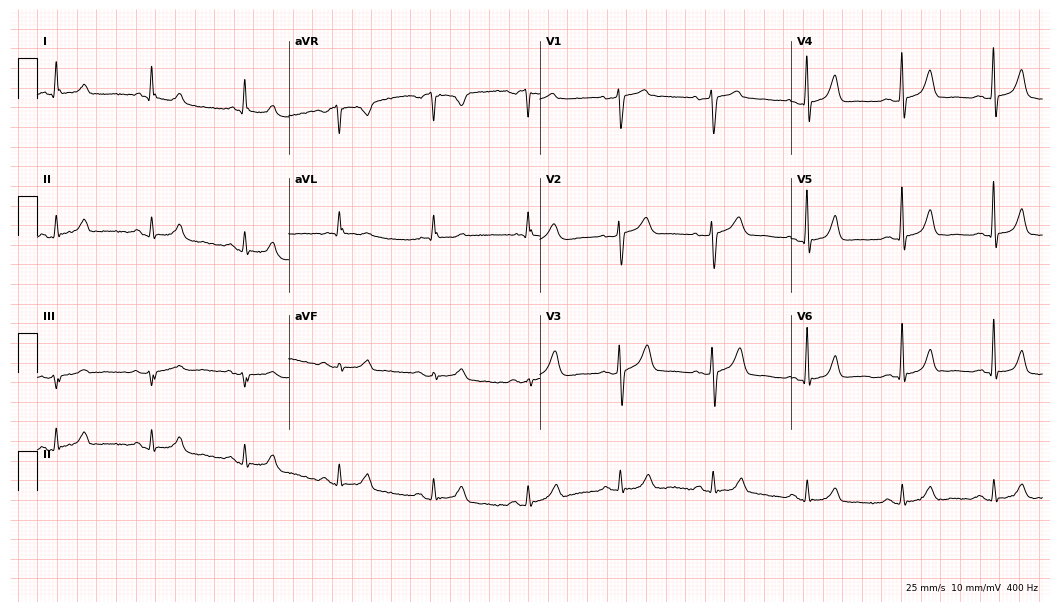
Resting 12-lead electrocardiogram. Patient: a 60-year-old female. None of these six findings is recorded: first-degree AV block, right bundle branch block, left bundle branch block, sinus bradycardia, atrial fibrillation, sinus tachycardia.